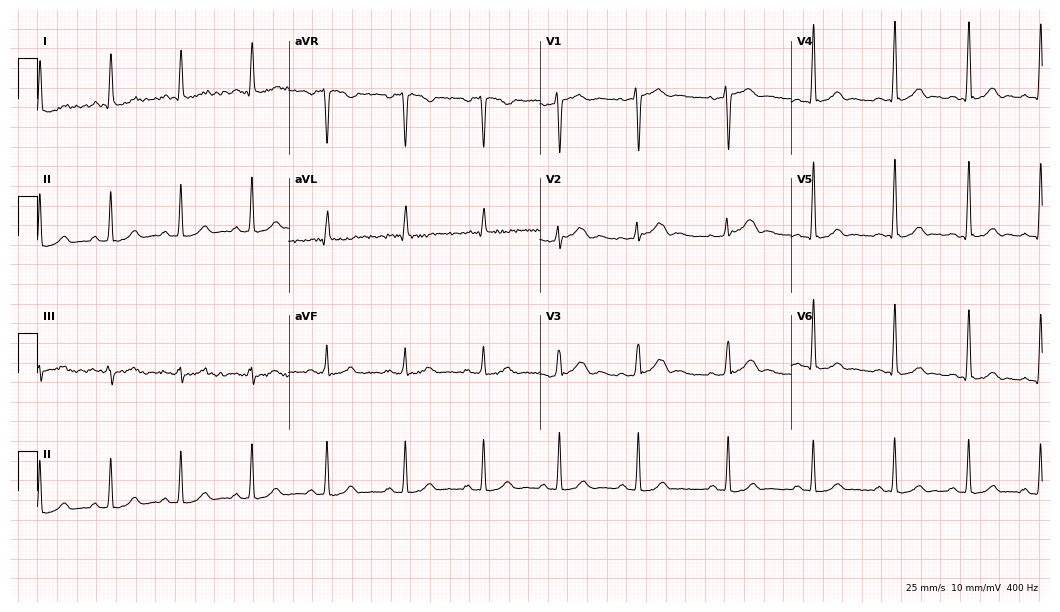
Electrocardiogram (10.2-second recording at 400 Hz), a 40-year-old female. Overall reading on record: normal ECG.